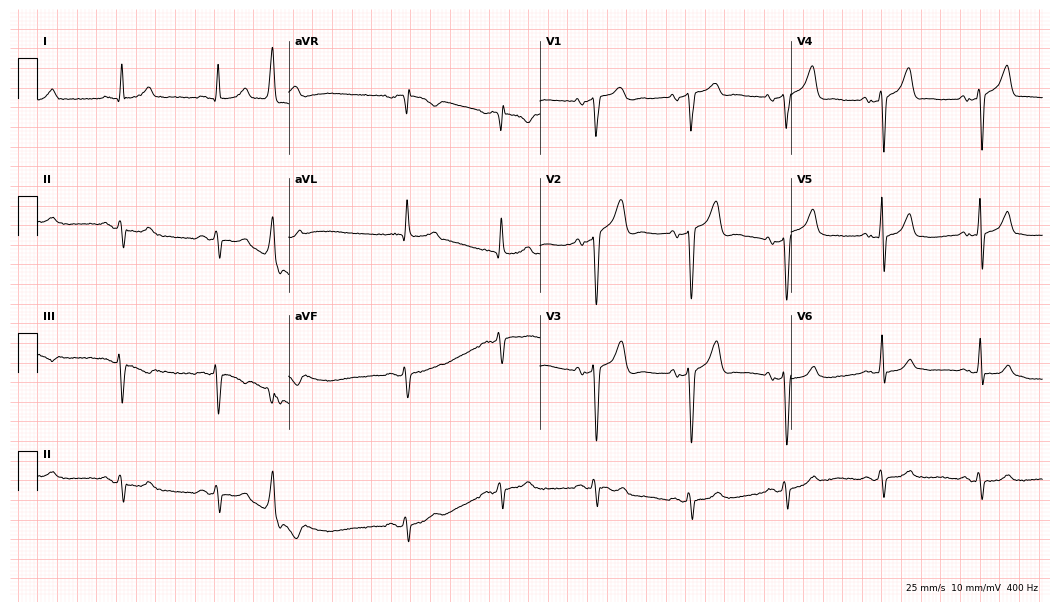
ECG — a male patient, 71 years old. Screened for six findings — first-degree AV block, right bundle branch block (RBBB), left bundle branch block (LBBB), sinus bradycardia, atrial fibrillation (AF), sinus tachycardia — none is recorded.